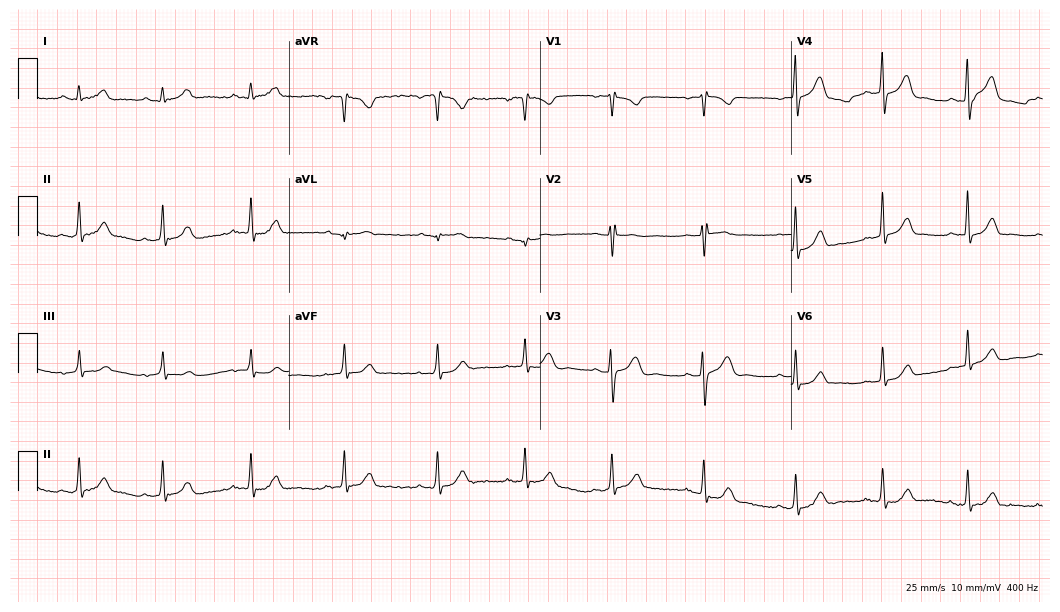
ECG — a female, 20 years old. Screened for six findings — first-degree AV block, right bundle branch block, left bundle branch block, sinus bradycardia, atrial fibrillation, sinus tachycardia — none is recorded. Other findings, if any, are not listed.